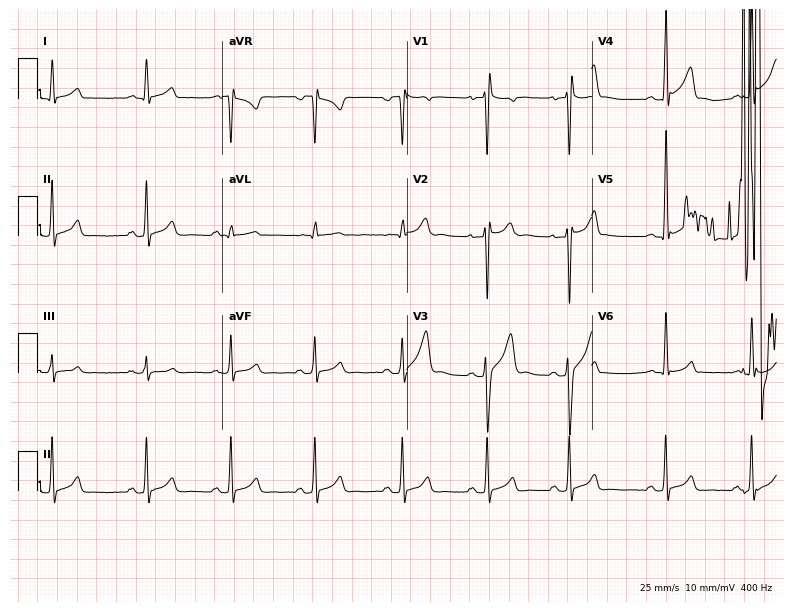
Electrocardiogram (7.5-second recording at 400 Hz), a 21-year-old male patient. Of the six screened findings (first-degree AV block, right bundle branch block, left bundle branch block, sinus bradycardia, atrial fibrillation, sinus tachycardia), none is recorded.